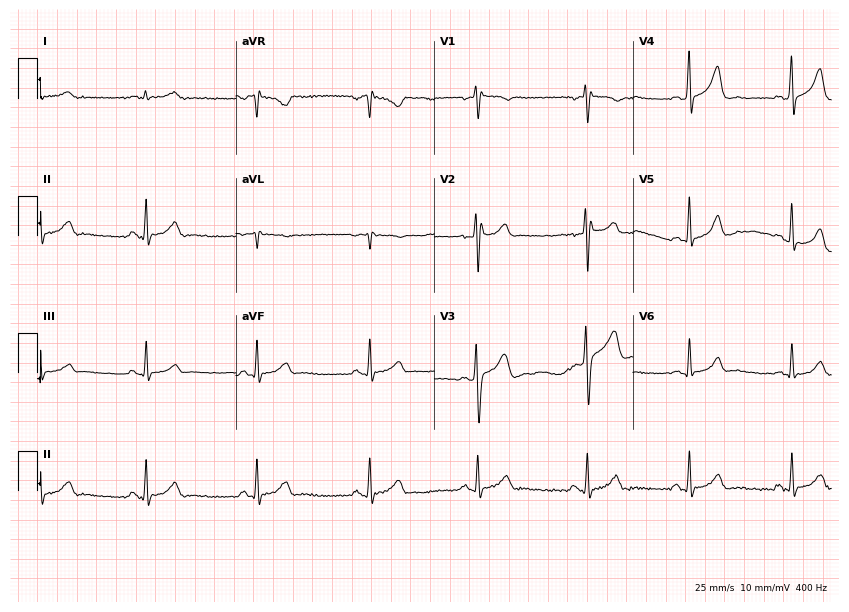
Electrocardiogram, a 38-year-old male. Of the six screened findings (first-degree AV block, right bundle branch block (RBBB), left bundle branch block (LBBB), sinus bradycardia, atrial fibrillation (AF), sinus tachycardia), none is recorded. Only these six findings were labelled.